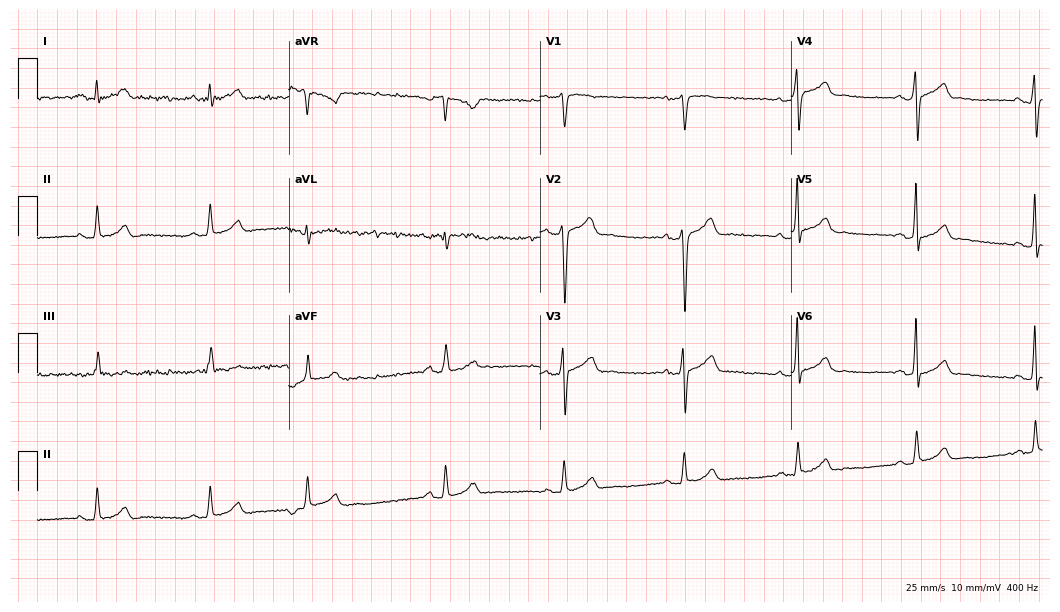
12-lead ECG from a 46-year-old man (10.2-second recording at 400 Hz). Recorded interpretation: within normal limits.